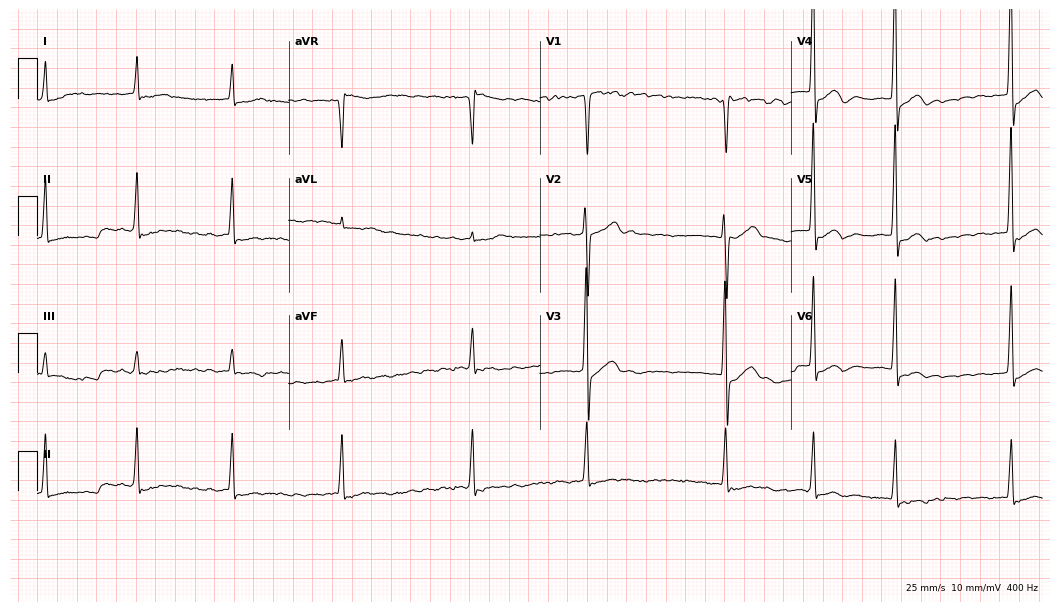
12-lead ECG from an 83-year-old female patient. Shows atrial fibrillation.